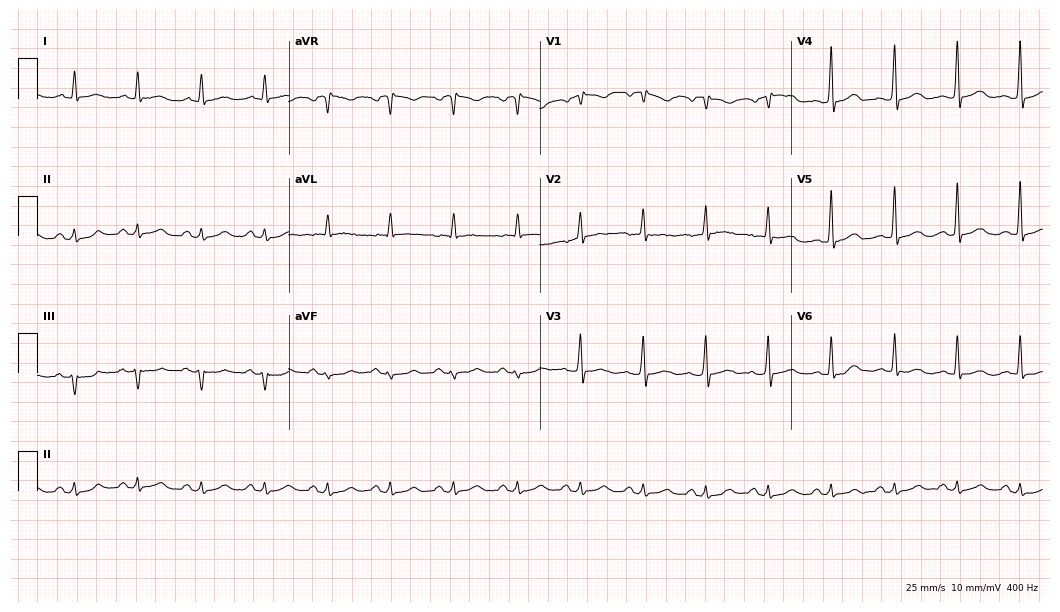
ECG (10.2-second recording at 400 Hz) — a 72-year-old male. Labelled as a normal ECG.